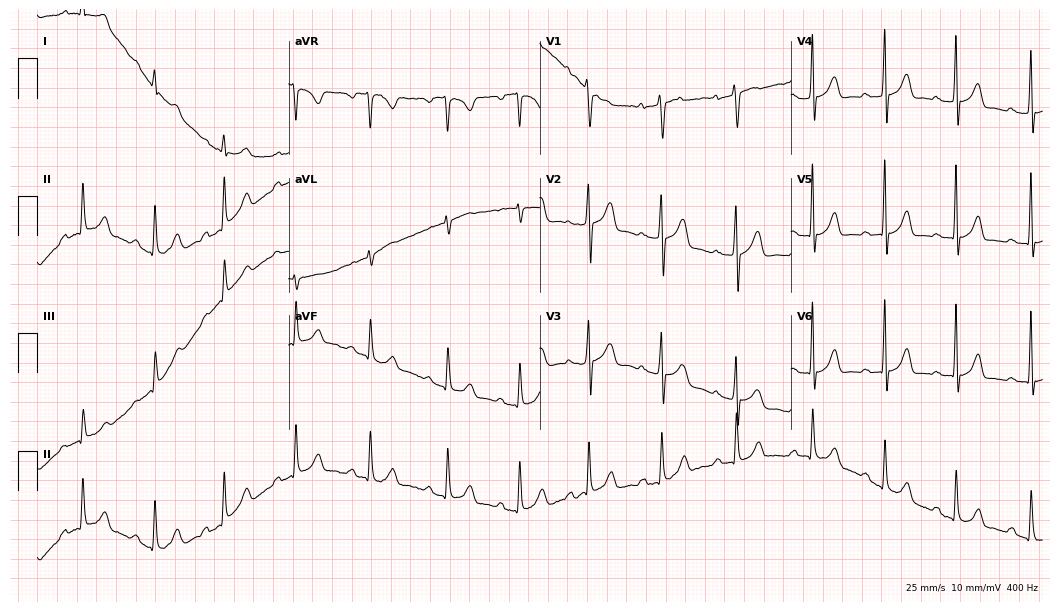
12-lead ECG (10.2-second recording at 400 Hz) from a 19-year-old female patient. Labelled as a normal ECG.